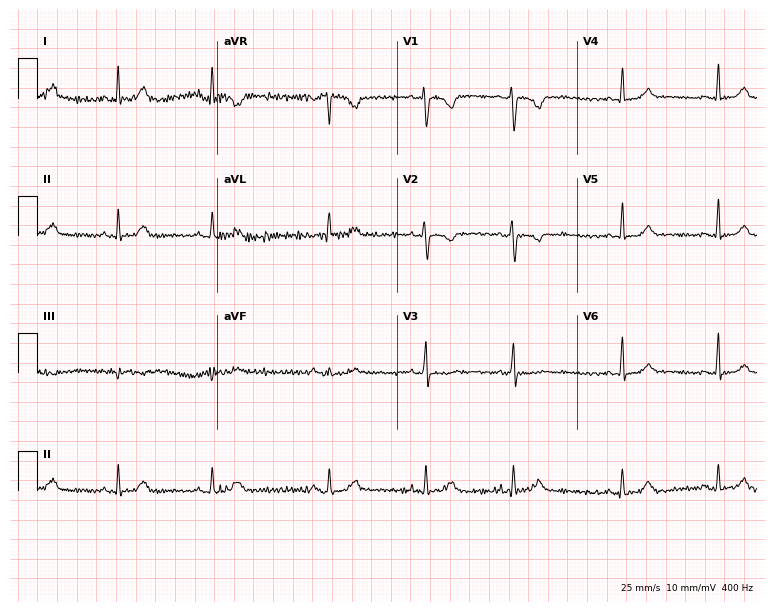
Resting 12-lead electrocardiogram (7.3-second recording at 400 Hz). Patient: a 37-year-old female. None of these six findings is recorded: first-degree AV block, right bundle branch block, left bundle branch block, sinus bradycardia, atrial fibrillation, sinus tachycardia. Findings outside these six are not listed.